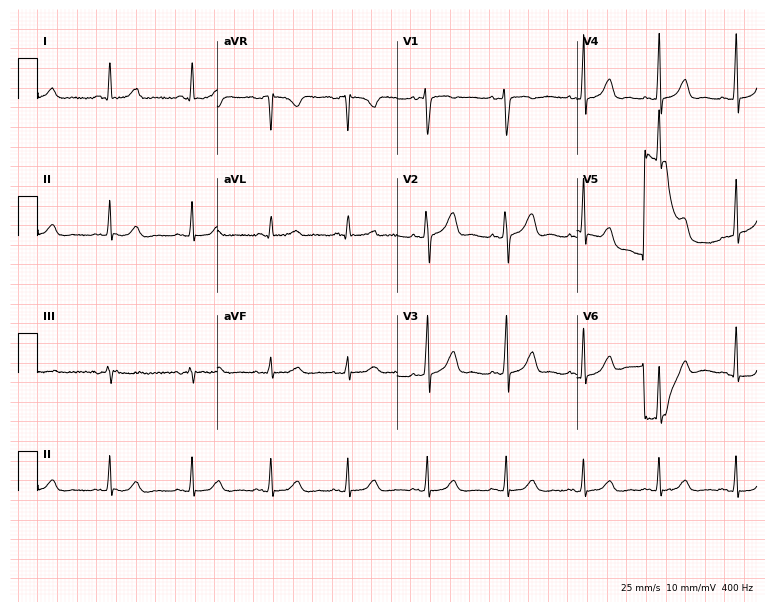
12-lead ECG (7.3-second recording at 400 Hz) from a female, 35 years old. Labelled as a normal ECG.